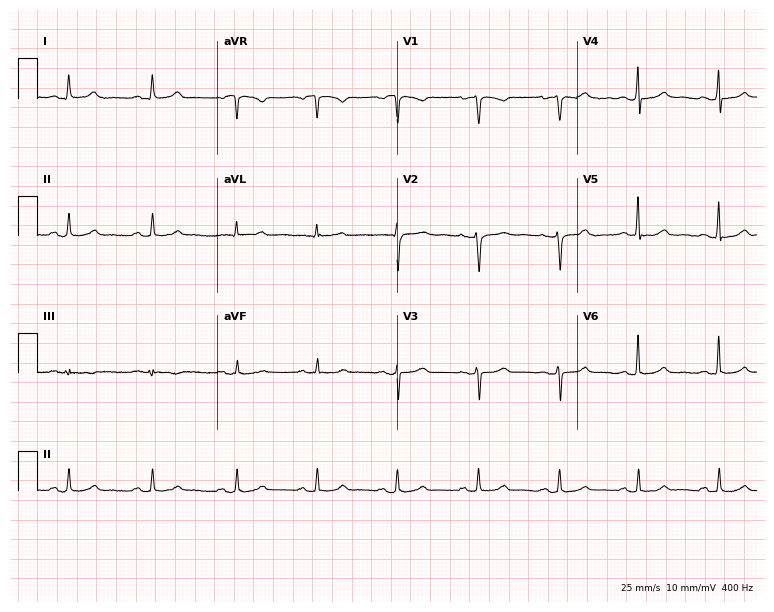
Resting 12-lead electrocardiogram. Patient: a female, 38 years old. Read as a normal ECG.